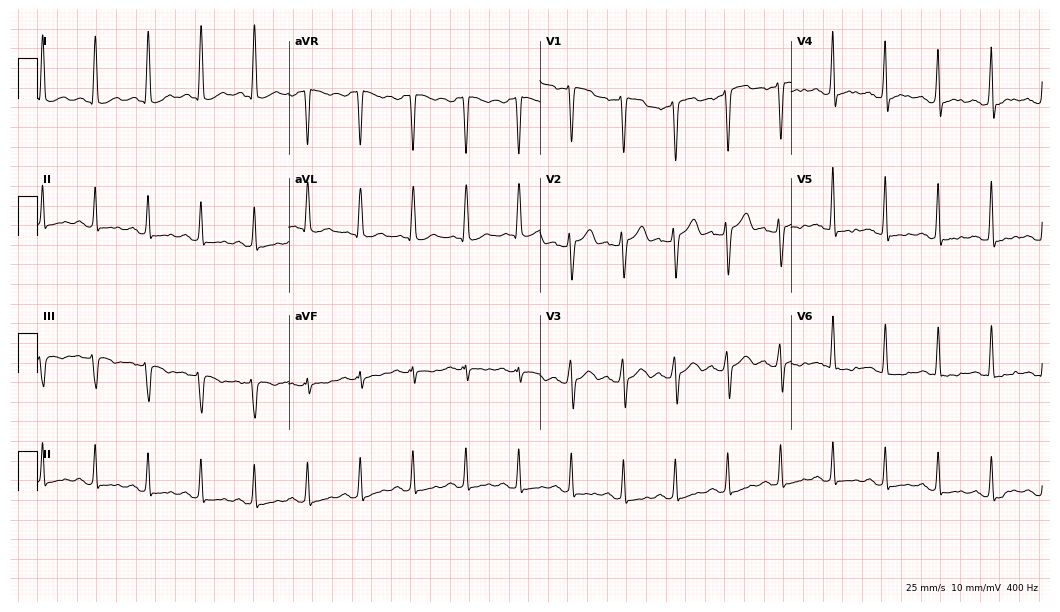
ECG (10.2-second recording at 400 Hz) — a 42-year-old man. Screened for six findings — first-degree AV block, right bundle branch block, left bundle branch block, sinus bradycardia, atrial fibrillation, sinus tachycardia — none is recorded. Other findings, if any, are not listed.